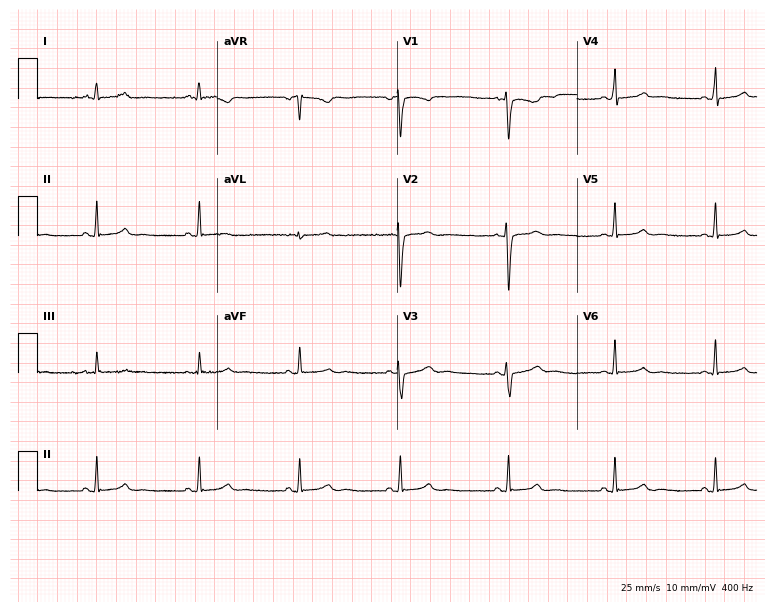
12-lead ECG from a 22-year-old female patient. Recorded interpretation: within normal limits.